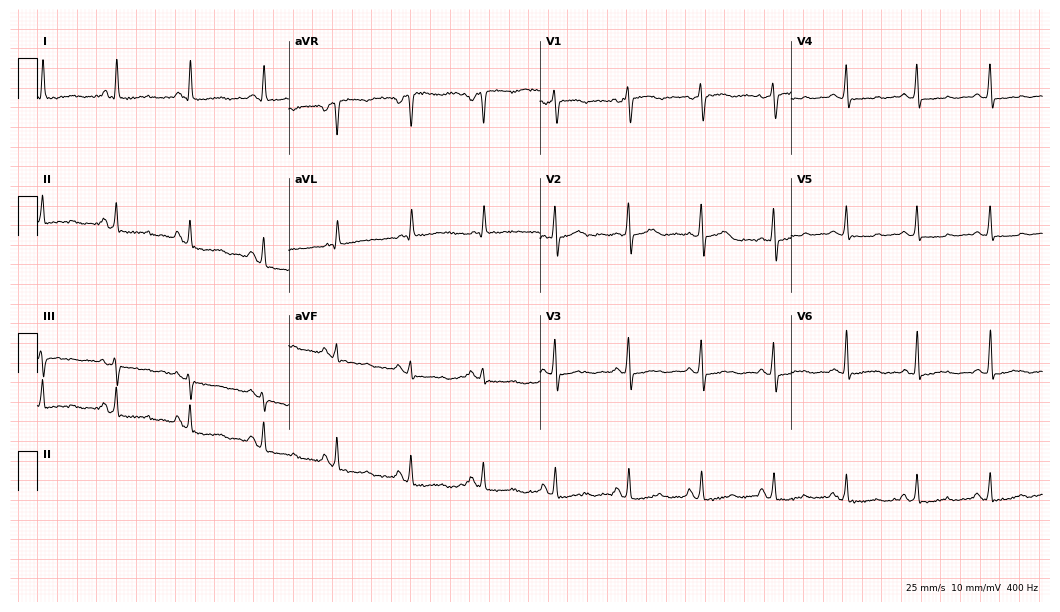
ECG — a female, 77 years old. Screened for six findings — first-degree AV block, right bundle branch block, left bundle branch block, sinus bradycardia, atrial fibrillation, sinus tachycardia — none is recorded. Only these six findings were labelled.